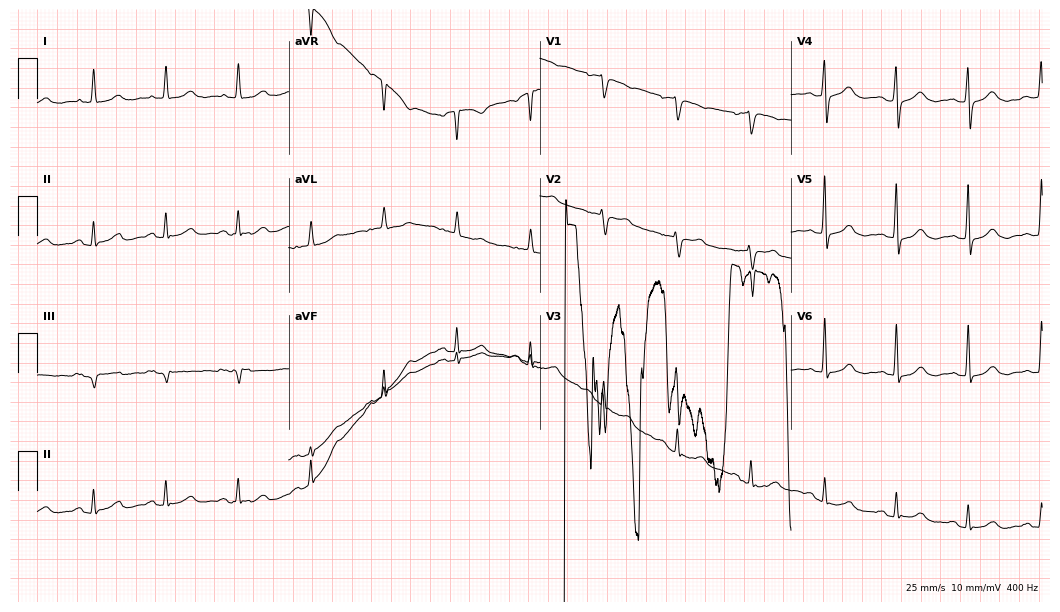
Electrocardiogram, a 75-year-old woman. Of the six screened findings (first-degree AV block, right bundle branch block, left bundle branch block, sinus bradycardia, atrial fibrillation, sinus tachycardia), none is recorded.